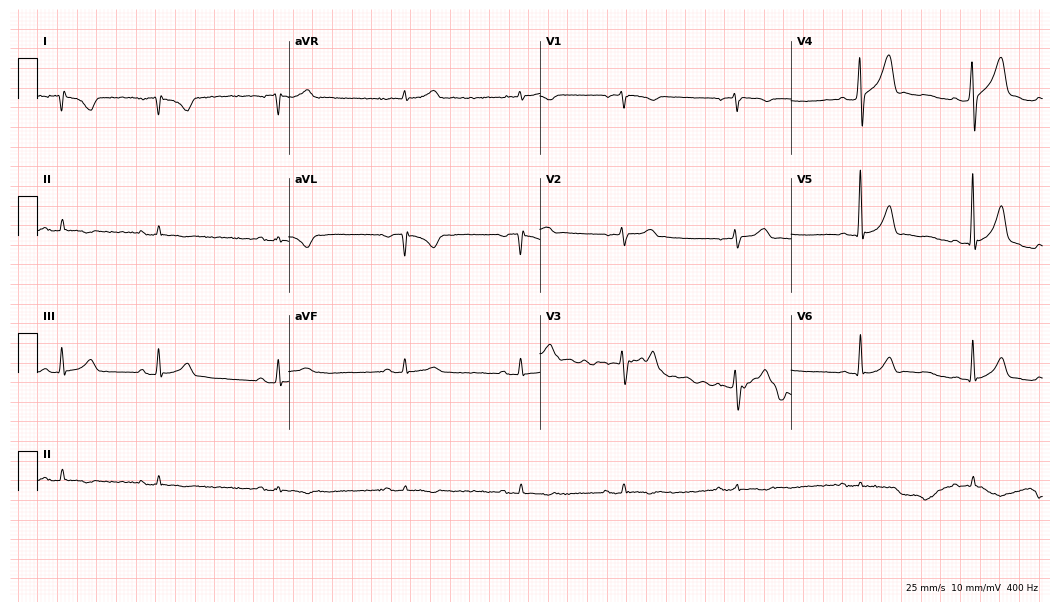
Standard 12-lead ECG recorded from a 34-year-old male patient (10.2-second recording at 400 Hz). None of these six findings is recorded: first-degree AV block, right bundle branch block (RBBB), left bundle branch block (LBBB), sinus bradycardia, atrial fibrillation (AF), sinus tachycardia.